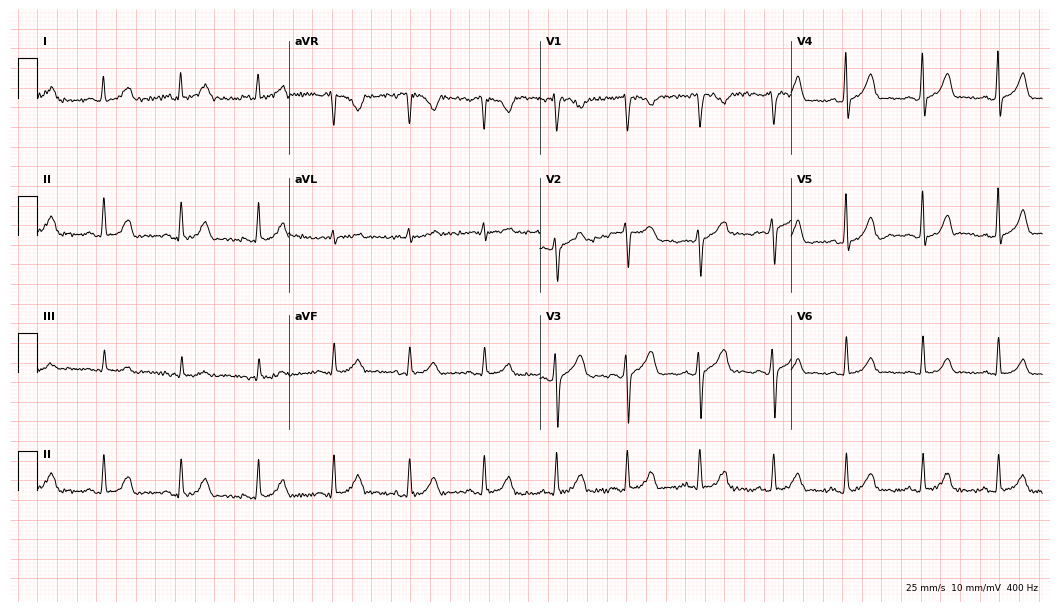
Electrocardiogram (10.2-second recording at 400 Hz), a 45-year-old woman. Overall reading on record: normal ECG.